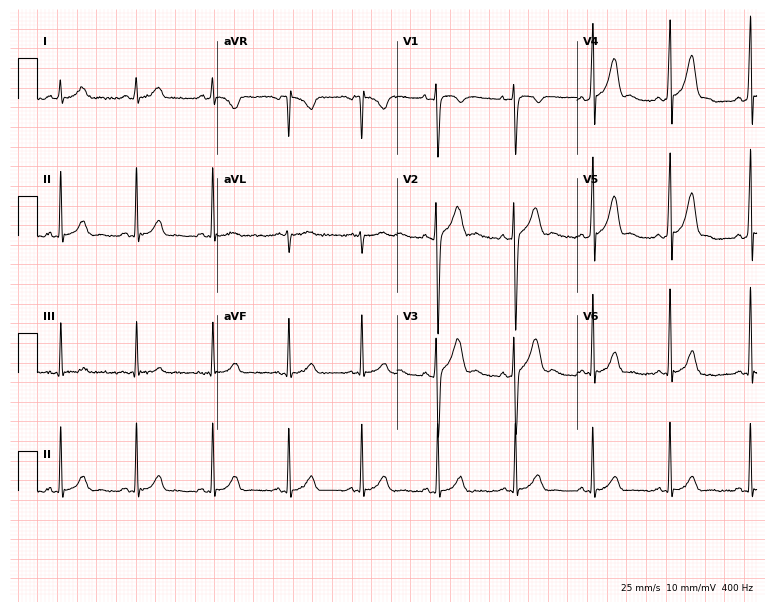
Electrocardiogram, a male, 25 years old. Of the six screened findings (first-degree AV block, right bundle branch block (RBBB), left bundle branch block (LBBB), sinus bradycardia, atrial fibrillation (AF), sinus tachycardia), none is recorded.